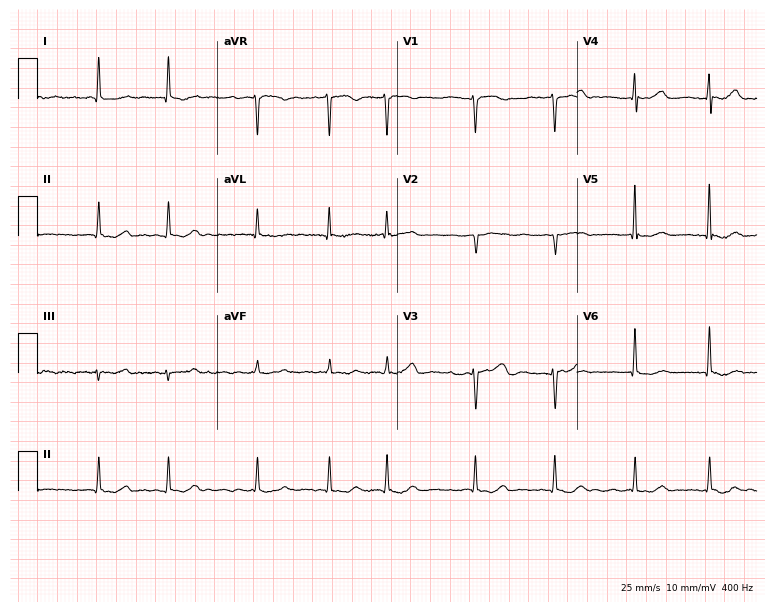
Electrocardiogram (7.3-second recording at 400 Hz), a 76-year-old female patient. Interpretation includes atrial fibrillation.